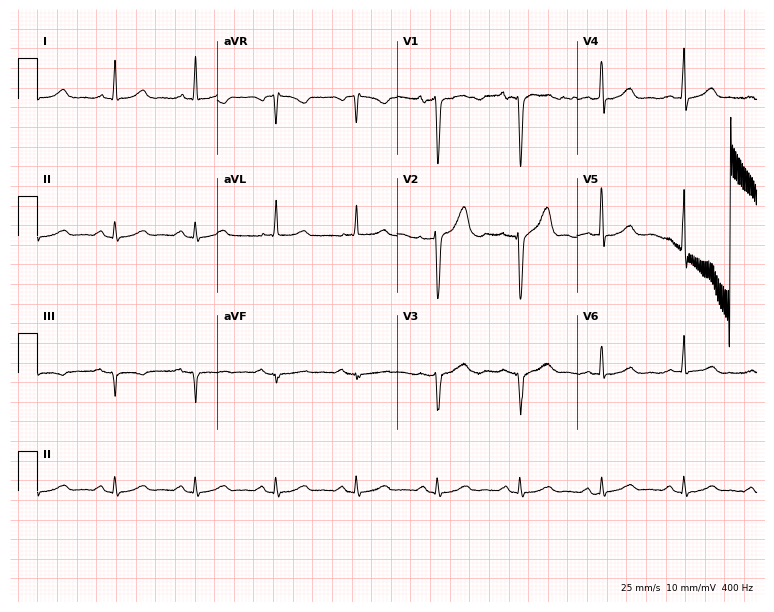
Standard 12-lead ECG recorded from a male patient, 73 years old. Read as a normal ECG.